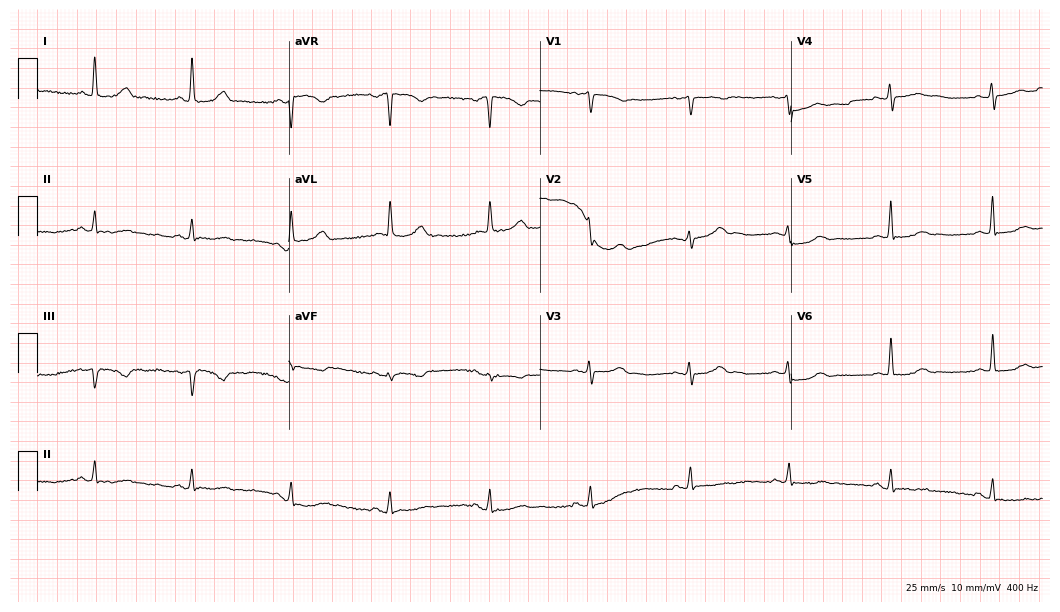
Electrocardiogram, a female, 58 years old. Of the six screened findings (first-degree AV block, right bundle branch block (RBBB), left bundle branch block (LBBB), sinus bradycardia, atrial fibrillation (AF), sinus tachycardia), none is recorded.